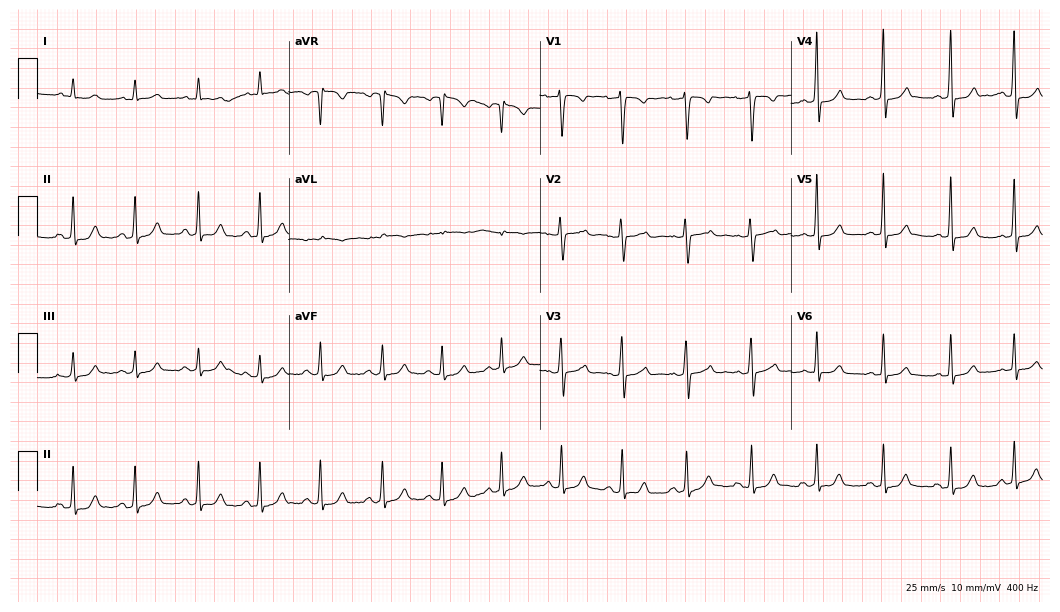
ECG — a 40-year-old female patient. Labelled as a normal ECG.